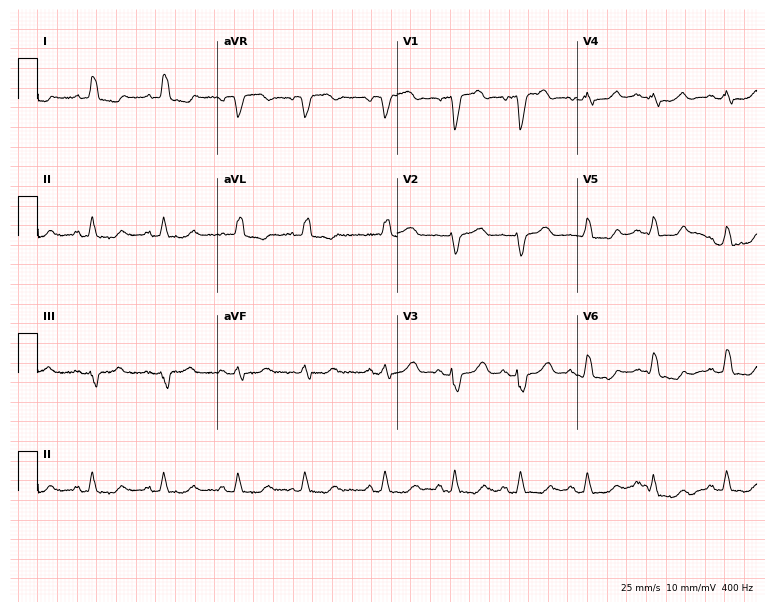
Resting 12-lead electrocardiogram. Patient: a 76-year-old woman. The tracing shows left bundle branch block (LBBB).